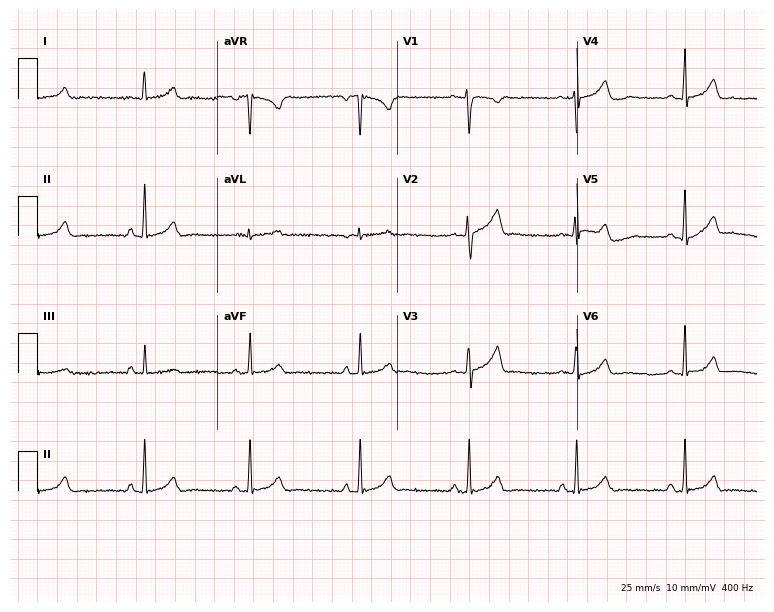
ECG (7.3-second recording at 400 Hz) — a 17-year-old woman. Screened for six findings — first-degree AV block, right bundle branch block, left bundle branch block, sinus bradycardia, atrial fibrillation, sinus tachycardia — none is recorded.